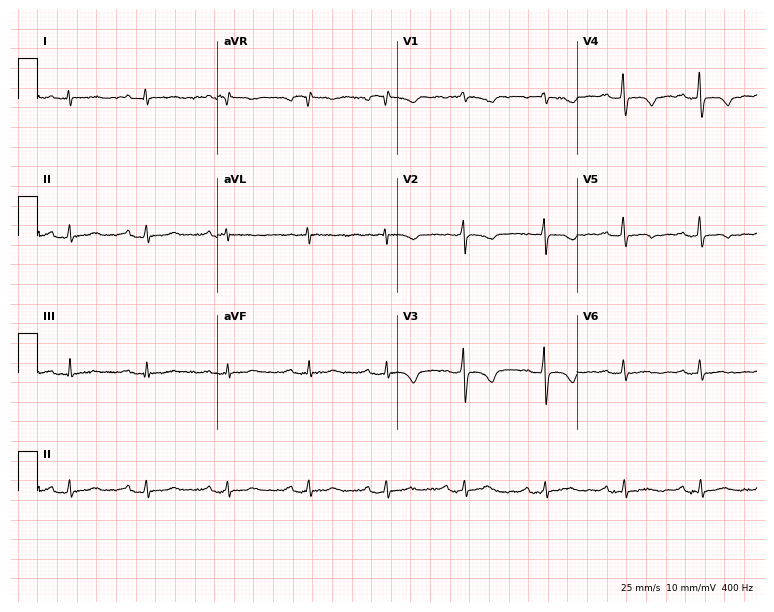
12-lead ECG from a 65-year-old woman (7.3-second recording at 400 Hz). No first-degree AV block, right bundle branch block, left bundle branch block, sinus bradycardia, atrial fibrillation or sinus tachycardia recorded for this tracing. Other findings, if any, are not listed.